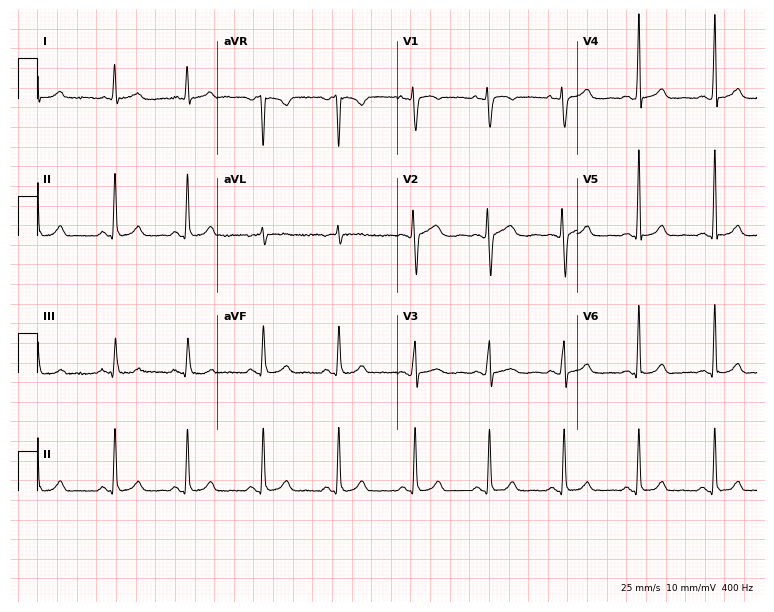
Electrocardiogram (7.3-second recording at 400 Hz), a female patient, 26 years old. Of the six screened findings (first-degree AV block, right bundle branch block, left bundle branch block, sinus bradycardia, atrial fibrillation, sinus tachycardia), none is recorded. Only these six findings were labelled.